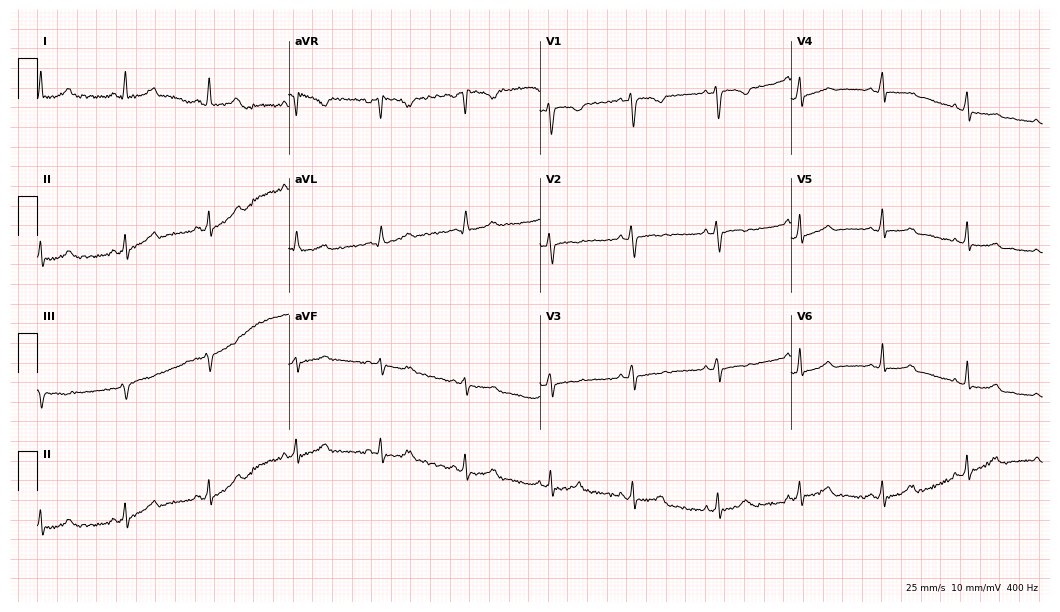
ECG — a 34-year-old woman. Screened for six findings — first-degree AV block, right bundle branch block, left bundle branch block, sinus bradycardia, atrial fibrillation, sinus tachycardia — none is recorded. Findings outside these six are not listed.